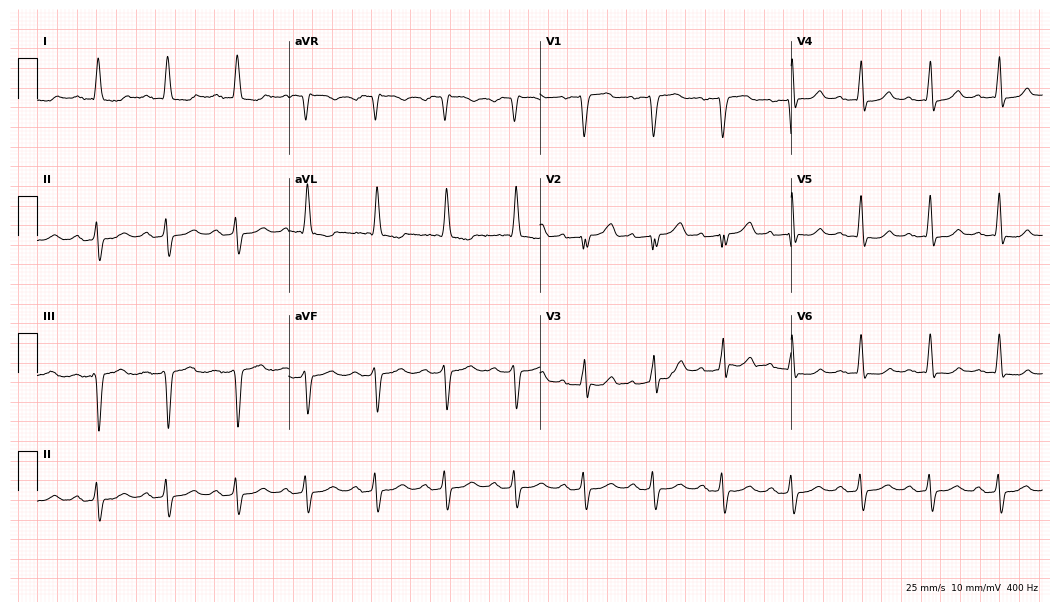
Standard 12-lead ECG recorded from a female patient, 80 years old. The tracing shows first-degree AV block.